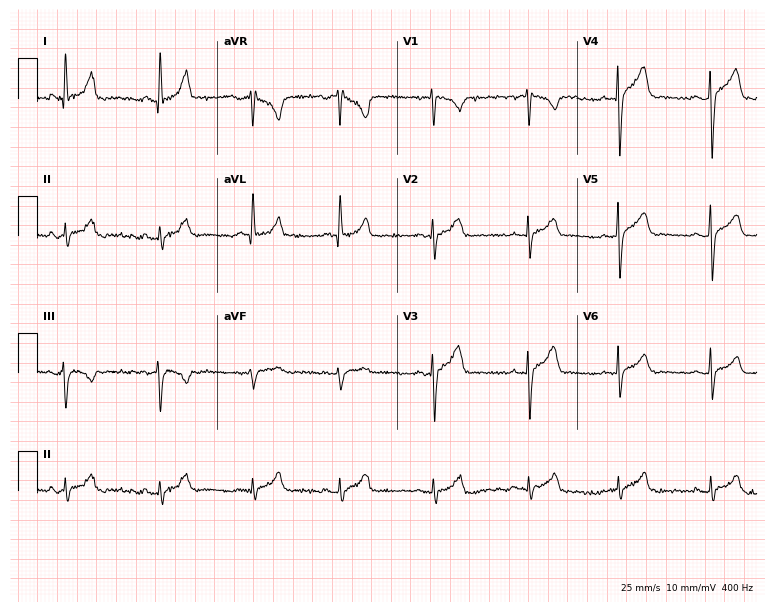
12-lead ECG (7.3-second recording at 400 Hz) from a 36-year-old male patient. Screened for six findings — first-degree AV block, right bundle branch block, left bundle branch block, sinus bradycardia, atrial fibrillation, sinus tachycardia — none is recorded.